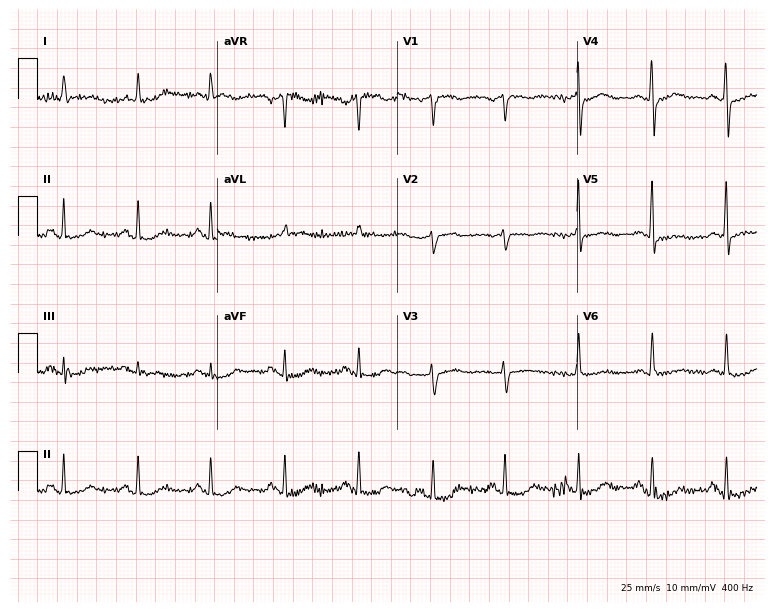
Resting 12-lead electrocardiogram. Patient: a female, 76 years old. None of these six findings is recorded: first-degree AV block, right bundle branch block, left bundle branch block, sinus bradycardia, atrial fibrillation, sinus tachycardia.